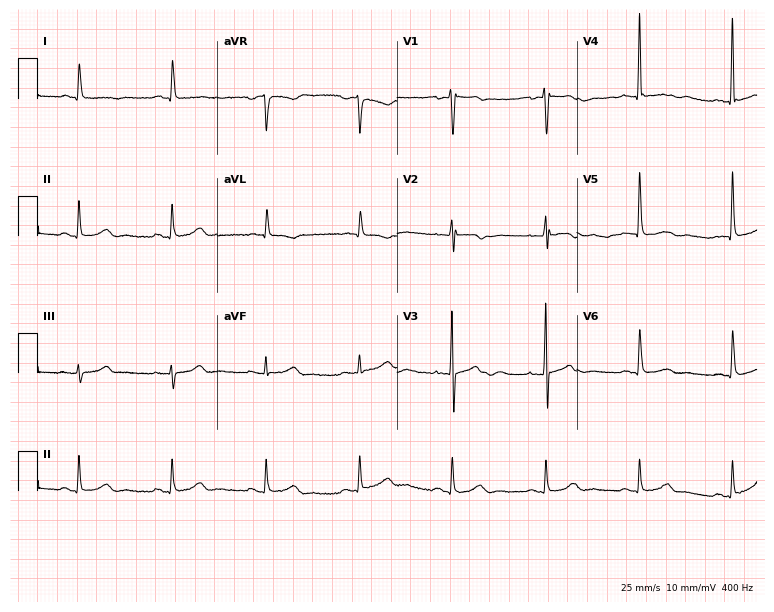
ECG (7.3-second recording at 400 Hz) — a male, 79 years old. Labelled as a normal ECG.